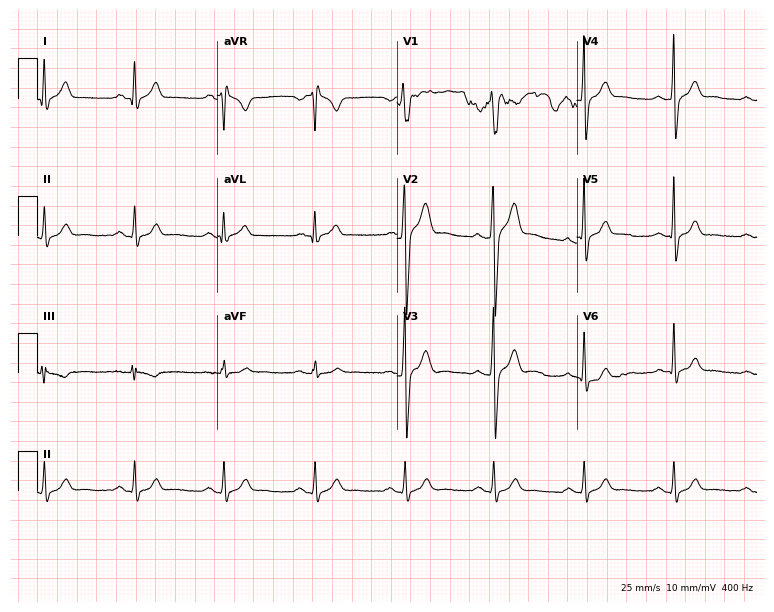
12-lead ECG from a 27-year-old man. No first-degree AV block, right bundle branch block (RBBB), left bundle branch block (LBBB), sinus bradycardia, atrial fibrillation (AF) or sinus tachycardia recorded for this tracing.